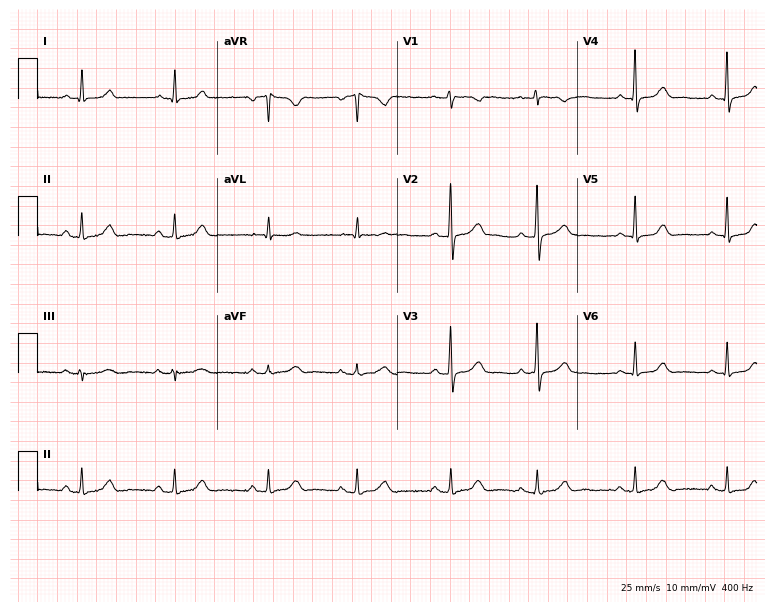
Resting 12-lead electrocardiogram. Patient: a 47-year-old woman. Read as a normal ECG.